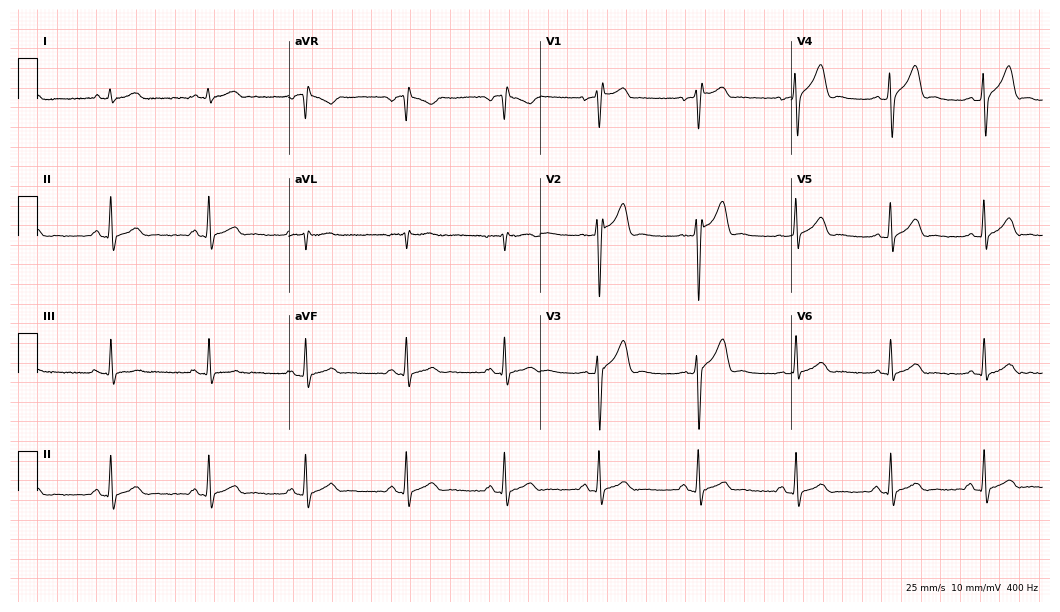
Electrocardiogram (10.2-second recording at 400 Hz), a man, 35 years old. Of the six screened findings (first-degree AV block, right bundle branch block, left bundle branch block, sinus bradycardia, atrial fibrillation, sinus tachycardia), none is recorded. Findings outside these six are not listed.